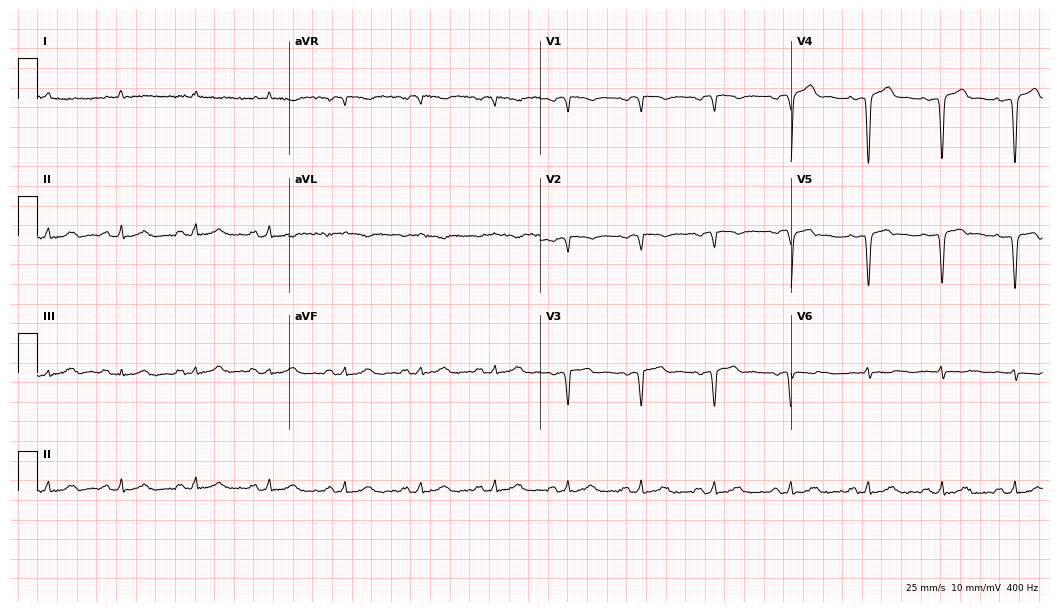
12-lead ECG from a 73-year-old male patient. No first-degree AV block, right bundle branch block (RBBB), left bundle branch block (LBBB), sinus bradycardia, atrial fibrillation (AF) or sinus tachycardia recorded for this tracing.